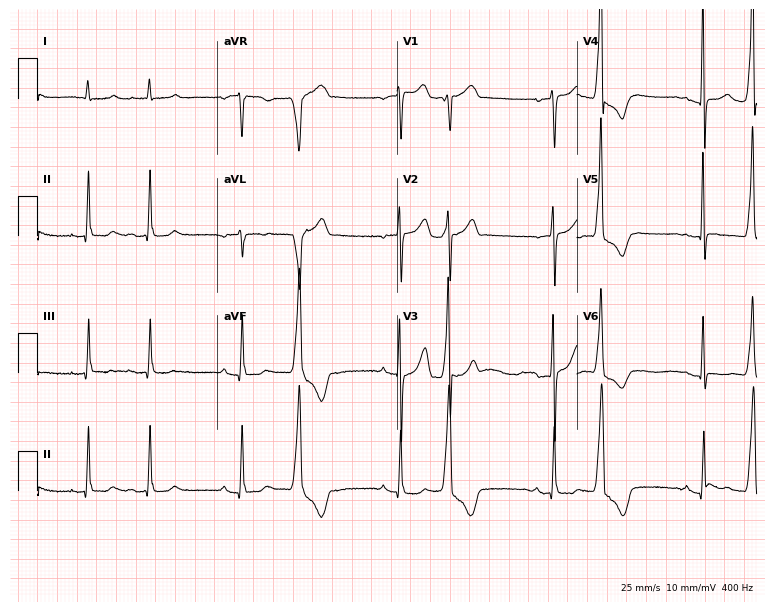
12-lead ECG from a male, 79 years old (7.3-second recording at 400 Hz). No first-degree AV block, right bundle branch block (RBBB), left bundle branch block (LBBB), sinus bradycardia, atrial fibrillation (AF) or sinus tachycardia recorded for this tracing. Findings outside these six are not listed.